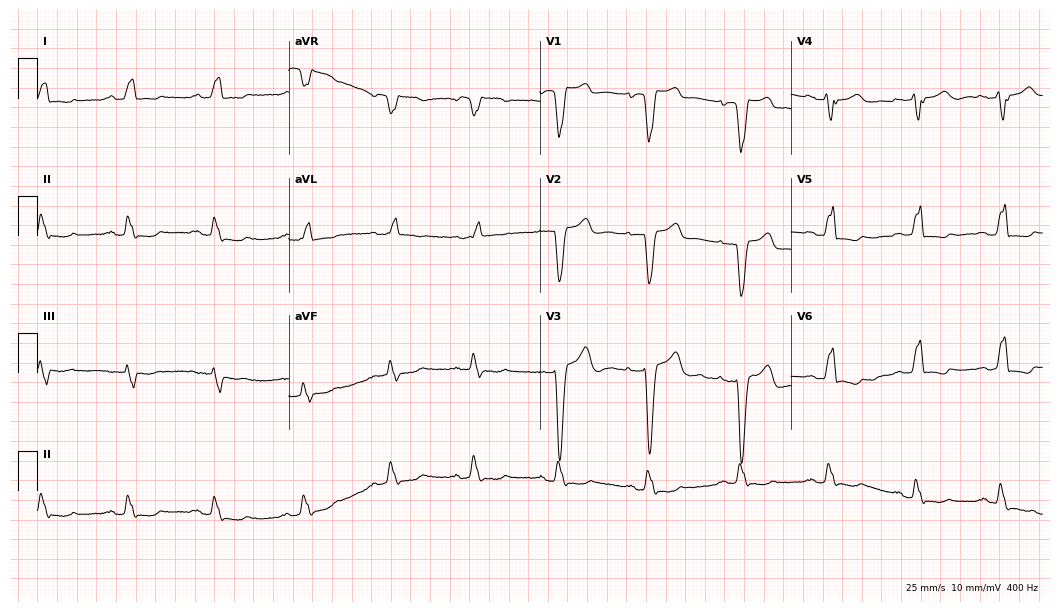
Standard 12-lead ECG recorded from a male, 84 years old (10.2-second recording at 400 Hz). The tracing shows left bundle branch block.